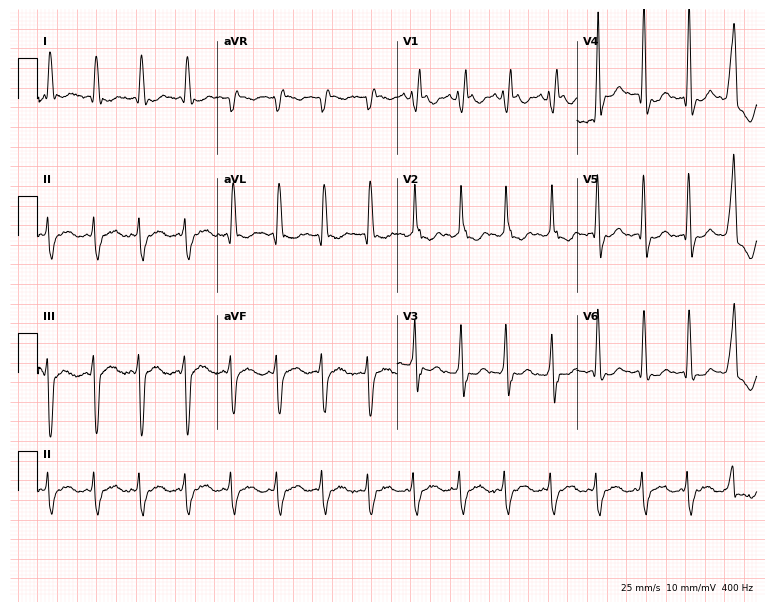
Electrocardiogram, a female patient, 75 years old. Of the six screened findings (first-degree AV block, right bundle branch block, left bundle branch block, sinus bradycardia, atrial fibrillation, sinus tachycardia), none is recorded.